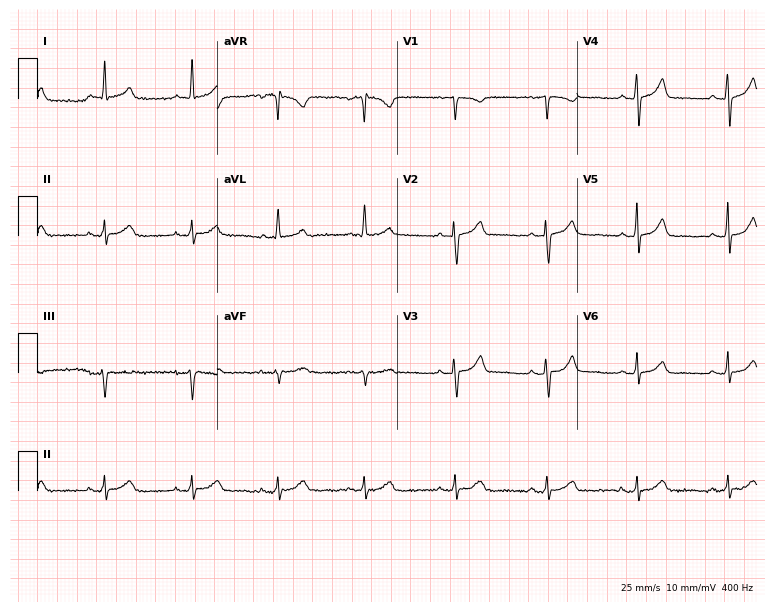
Standard 12-lead ECG recorded from a female patient, 84 years old (7.3-second recording at 400 Hz). Read as a normal ECG.